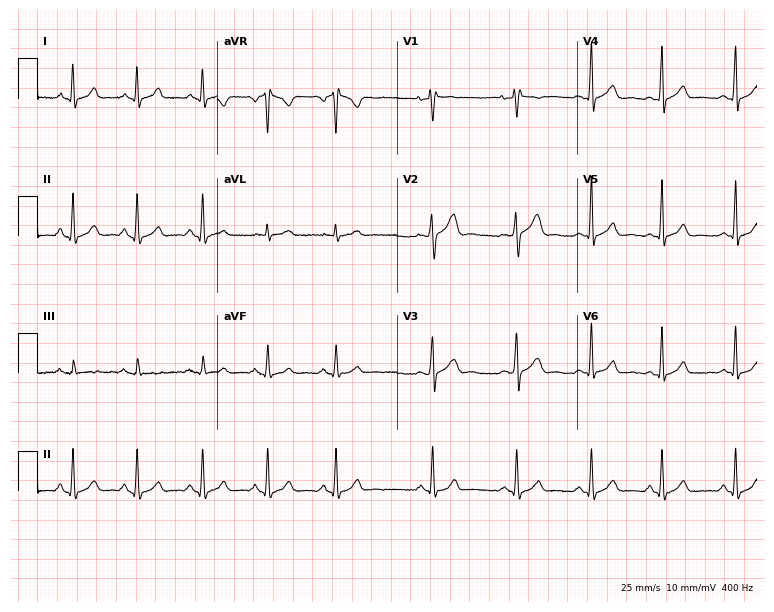
Standard 12-lead ECG recorded from a 35-year-old man. None of these six findings is recorded: first-degree AV block, right bundle branch block (RBBB), left bundle branch block (LBBB), sinus bradycardia, atrial fibrillation (AF), sinus tachycardia. Only these six findings were labelled.